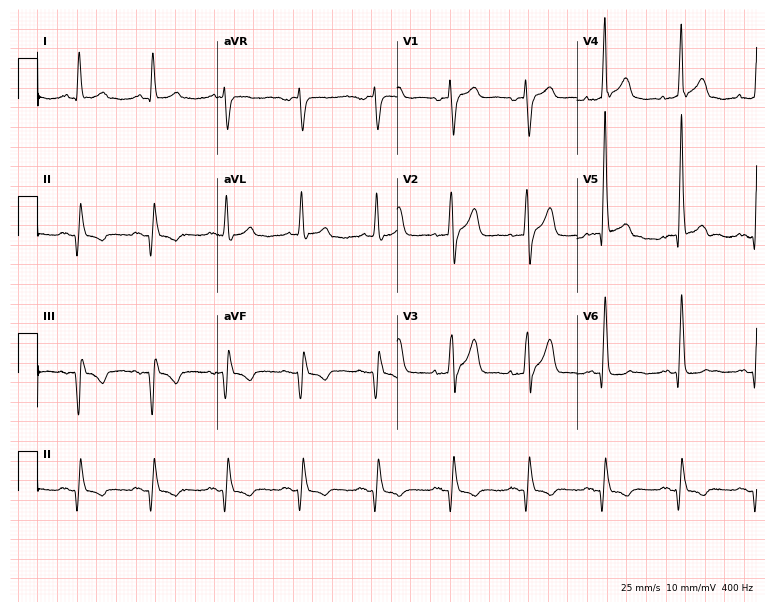
Standard 12-lead ECG recorded from a male, 71 years old (7.3-second recording at 400 Hz). None of these six findings is recorded: first-degree AV block, right bundle branch block (RBBB), left bundle branch block (LBBB), sinus bradycardia, atrial fibrillation (AF), sinus tachycardia. Findings outside these six are not listed.